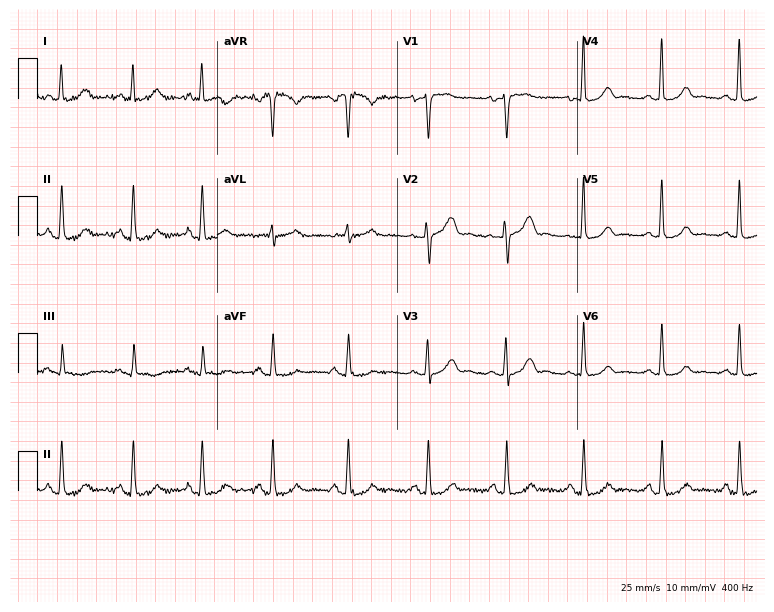
12-lead ECG from a female, 40 years old. Labelled as a normal ECG.